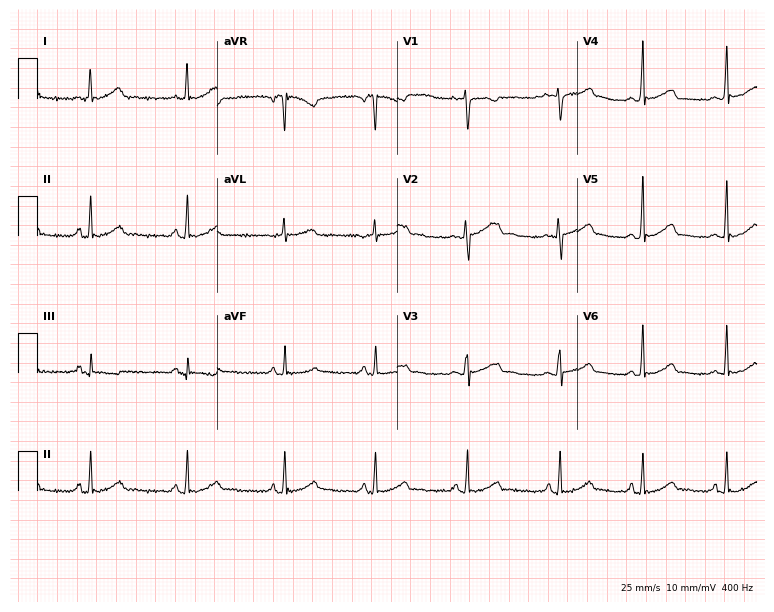
Standard 12-lead ECG recorded from a female, 23 years old. None of these six findings is recorded: first-degree AV block, right bundle branch block, left bundle branch block, sinus bradycardia, atrial fibrillation, sinus tachycardia.